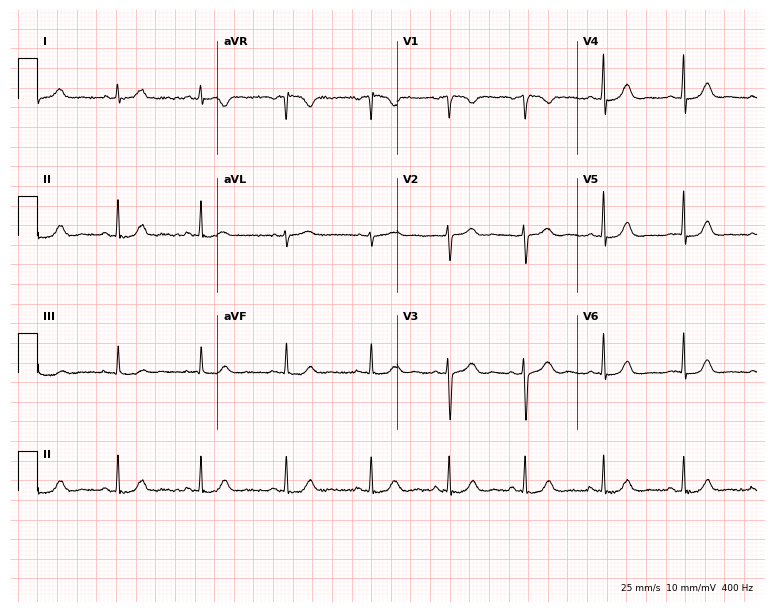
12-lead ECG from a woman, 30 years old. Labelled as a normal ECG.